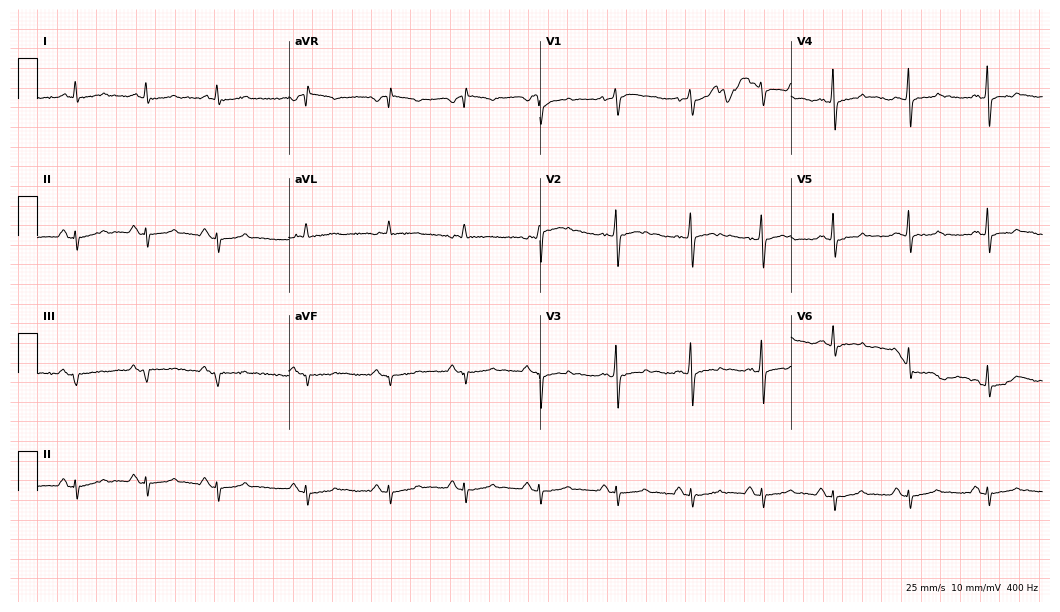
Standard 12-lead ECG recorded from a male, 56 years old. None of these six findings is recorded: first-degree AV block, right bundle branch block (RBBB), left bundle branch block (LBBB), sinus bradycardia, atrial fibrillation (AF), sinus tachycardia. Other findings, if any, are not listed.